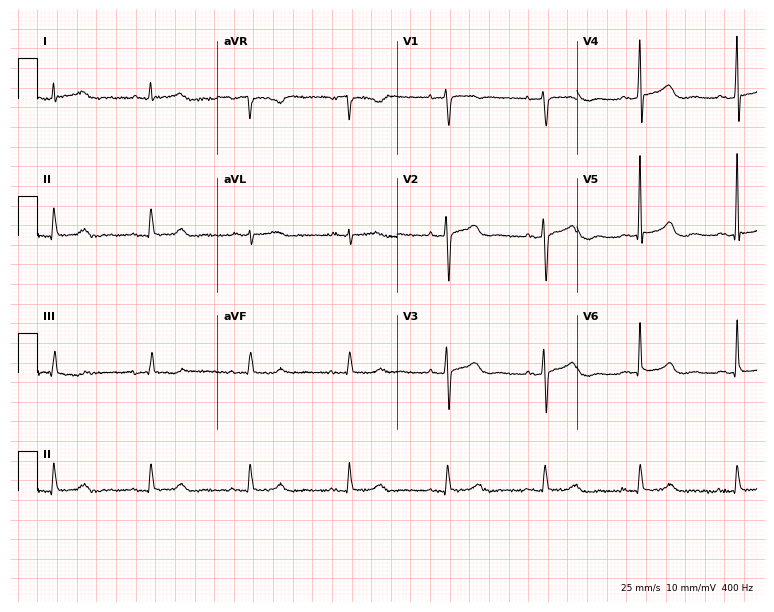
Electrocardiogram, a 58-year-old female patient. Of the six screened findings (first-degree AV block, right bundle branch block, left bundle branch block, sinus bradycardia, atrial fibrillation, sinus tachycardia), none is recorded.